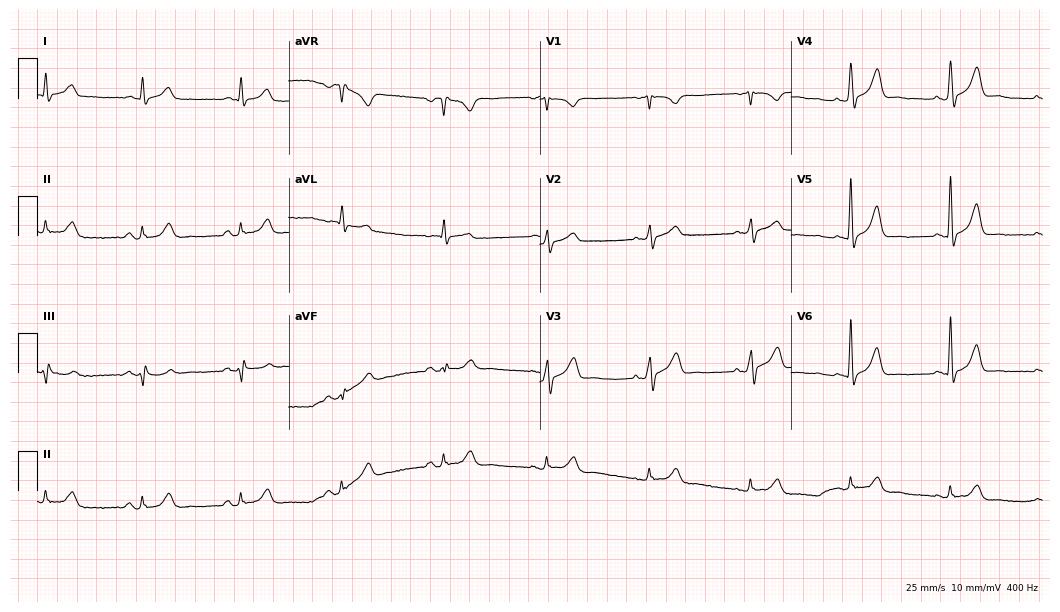
Standard 12-lead ECG recorded from a 74-year-old man. None of these six findings is recorded: first-degree AV block, right bundle branch block, left bundle branch block, sinus bradycardia, atrial fibrillation, sinus tachycardia. Findings outside these six are not listed.